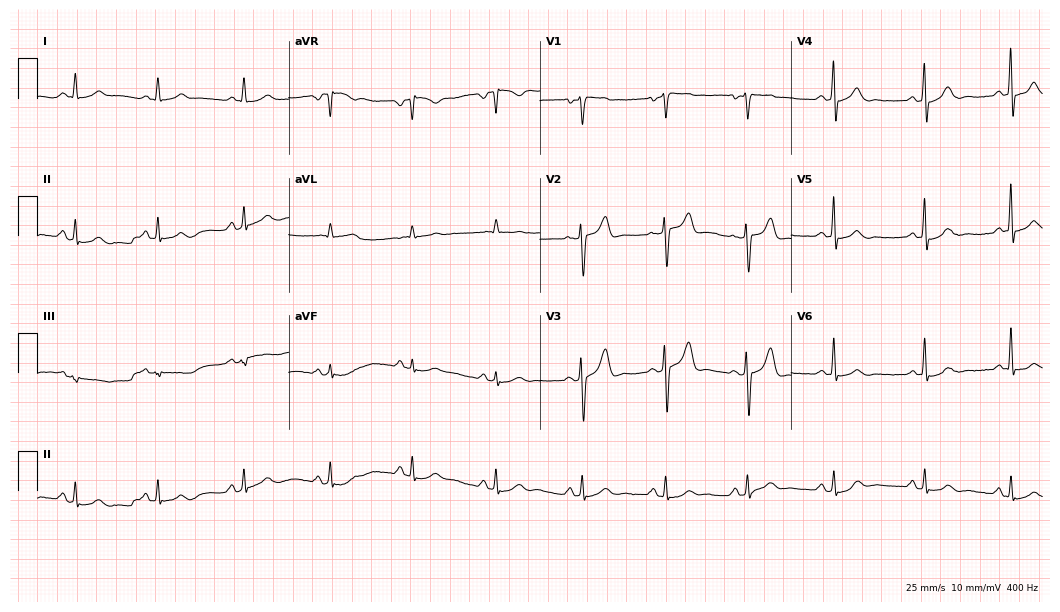
Standard 12-lead ECG recorded from a 45-year-old man (10.2-second recording at 400 Hz). Read as a normal ECG.